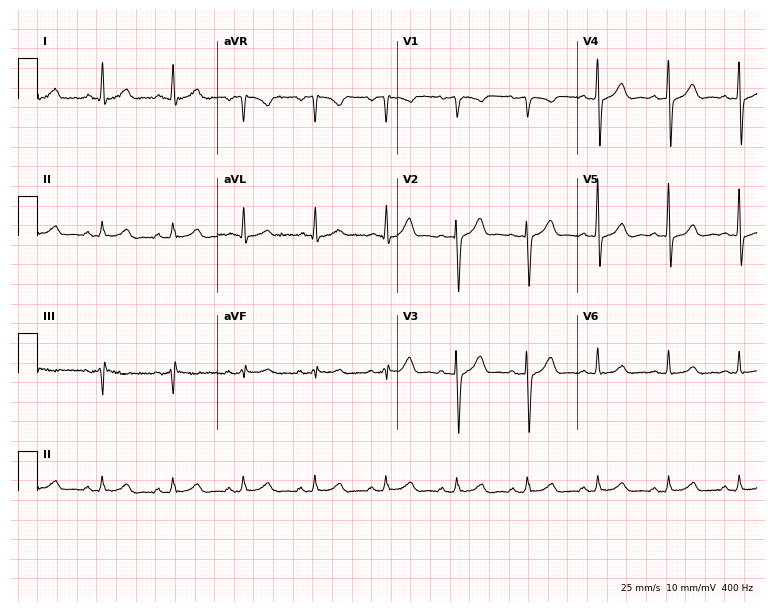
Standard 12-lead ECG recorded from a 50-year-old male patient. None of these six findings is recorded: first-degree AV block, right bundle branch block, left bundle branch block, sinus bradycardia, atrial fibrillation, sinus tachycardia.